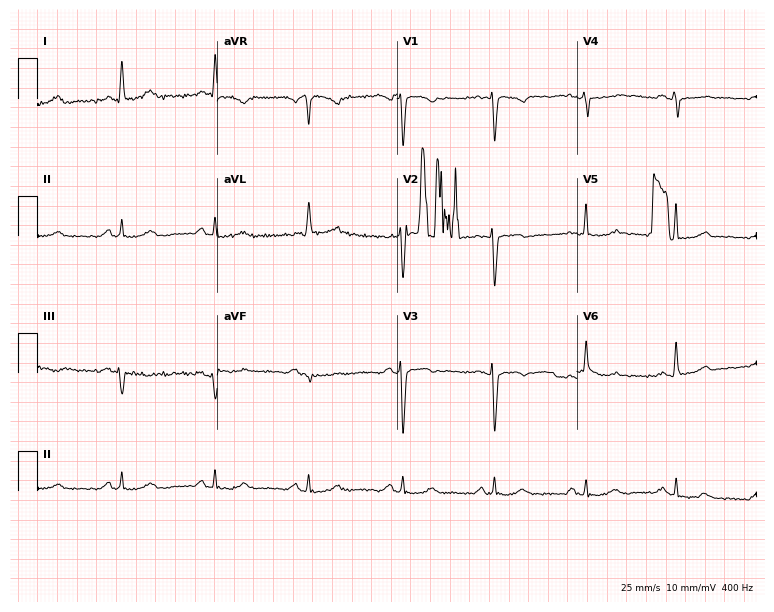
Electrocardiogram (7.3-second recording at 400 Hz), a female patient, 58 years old. Of the six screened findings (first-degree AV block, right bundle branch block, left bundle branch block, sinus bradycardia, atrial fibrillation, sinus tachycardia), none is recorded.